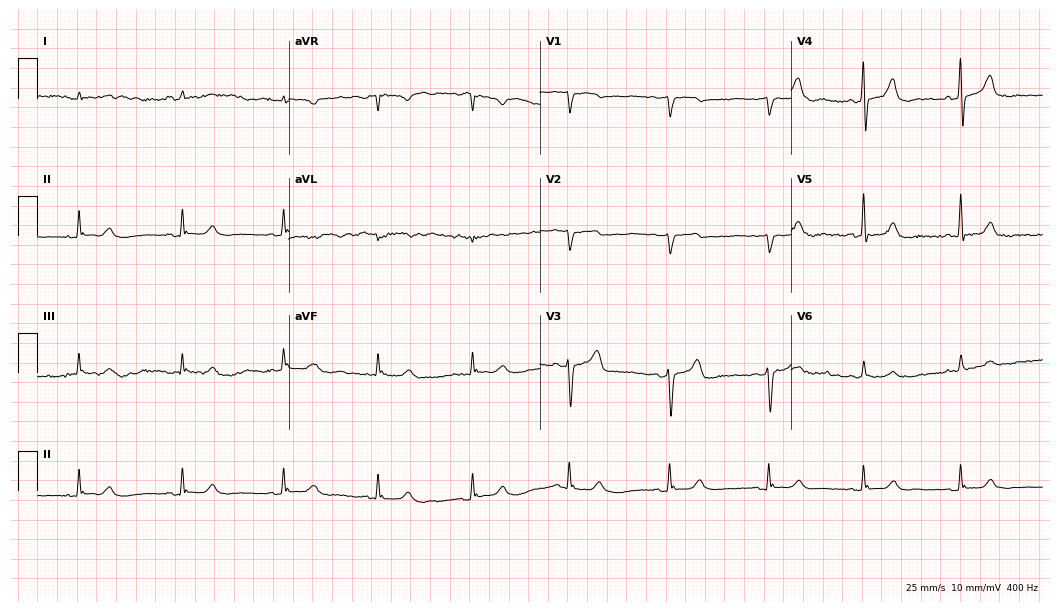
Resting 12-lead electrocardiogram (10.2-second recording at 400 Hz). Patient: a male, 62 years old. None of these six findings is recorded: first-degree AV block, right bundle branch block, left bundle branch block, sinus bradycardia, atrial fibrillation, sinus tachycardia. Only these six findings were labelled.